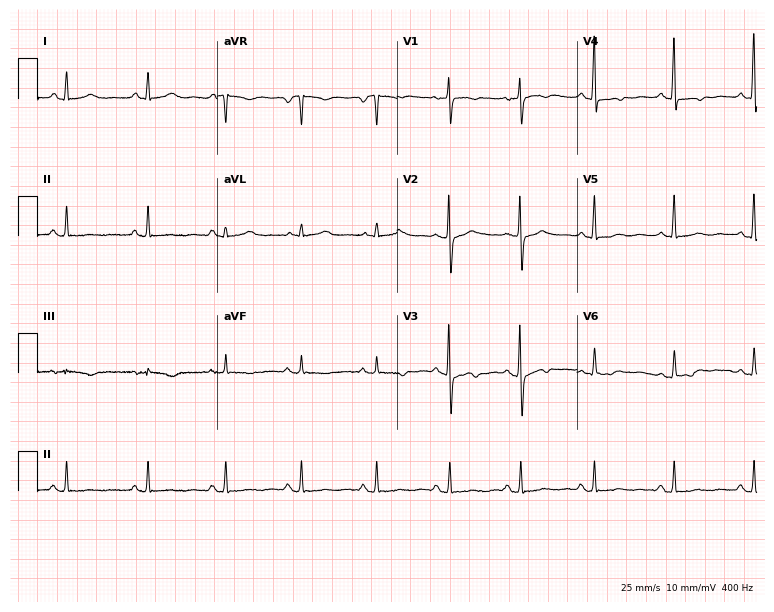
12-lead ECG from a 43-year-old female. Screened for six findings — first-degree AV block, right bundle branch block (RBBB), left bundle branch block (LBBB), sinus bradycardia, atrial fibrillation (AF), sinus tachycardia — none is recorded.